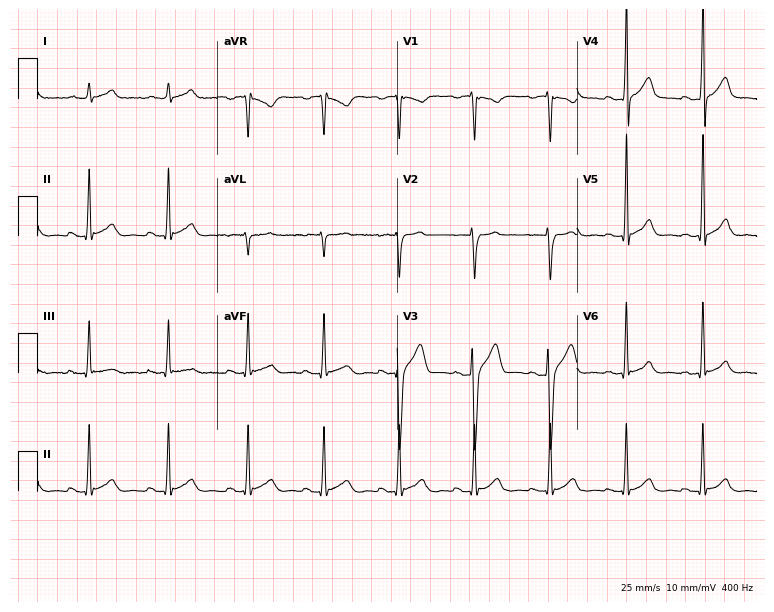
Electrocardiogram (7.3-second recording at 400 Hz), a 29-year-old male patient. Overall reading on record: normal ECG.